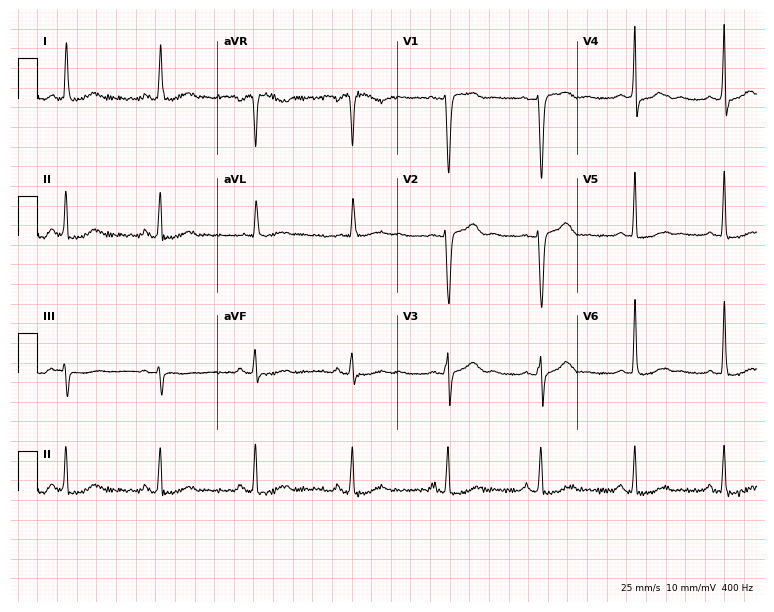
Electrocardiogram (7.3-second recording at 400 Hz), a female, 56 years old. Of the six screened findings (first-degree AV block, right bundle branch block, left bundle branch block, sinus bradycardia, atrial fibrillation, sinus tachycardia), none is recorded. Findings outside these six are not listed.